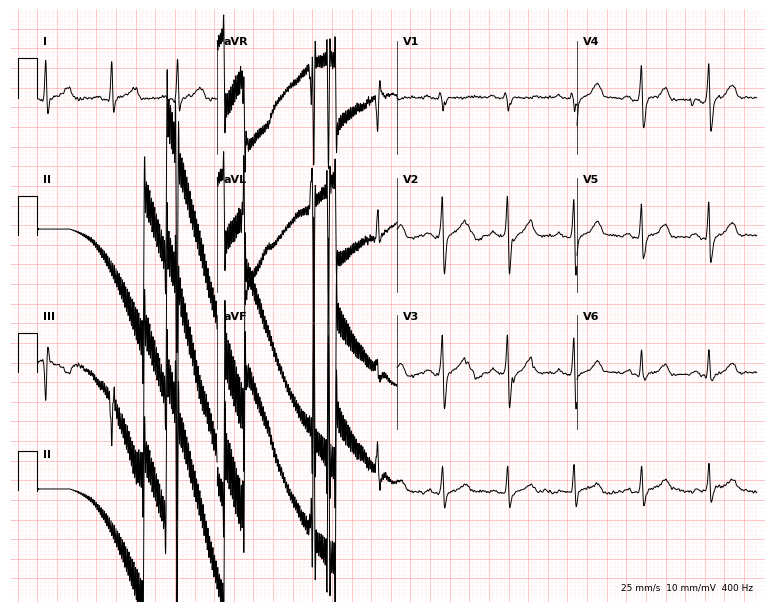
12-lead ECG from a 37-year-old man. Recorded interpretation: within normal limits.